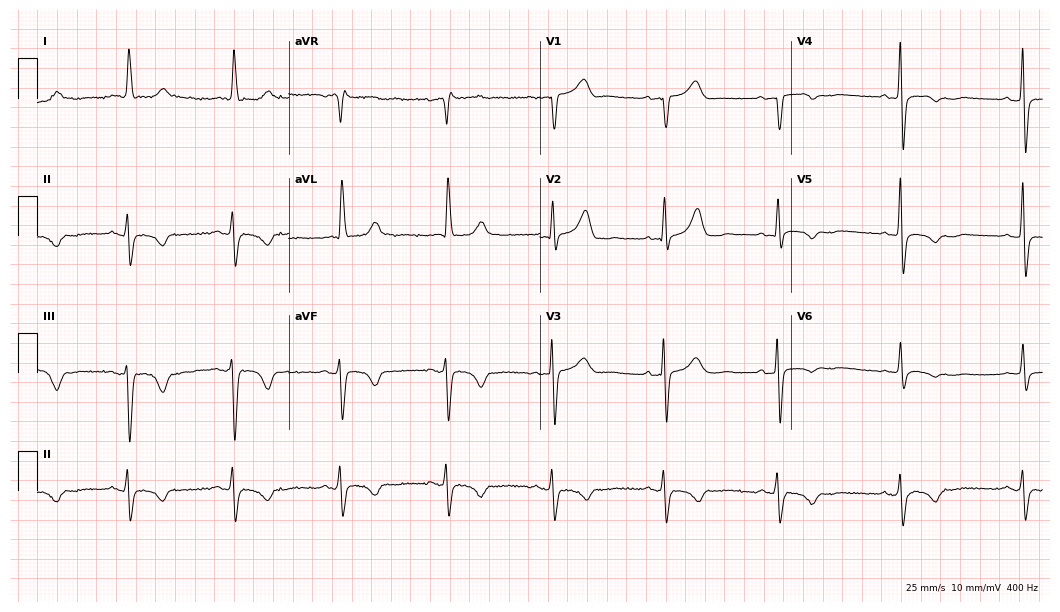
12-lead ECG (10.2-second recording at 400 Hz) from a female, 82 years old. Screened for six findings — first-degree AV block, right bundle branch block, left bundle branch block, sinus bradycardia, atrial fibrillation, sinus tachycardia — none is recorded.